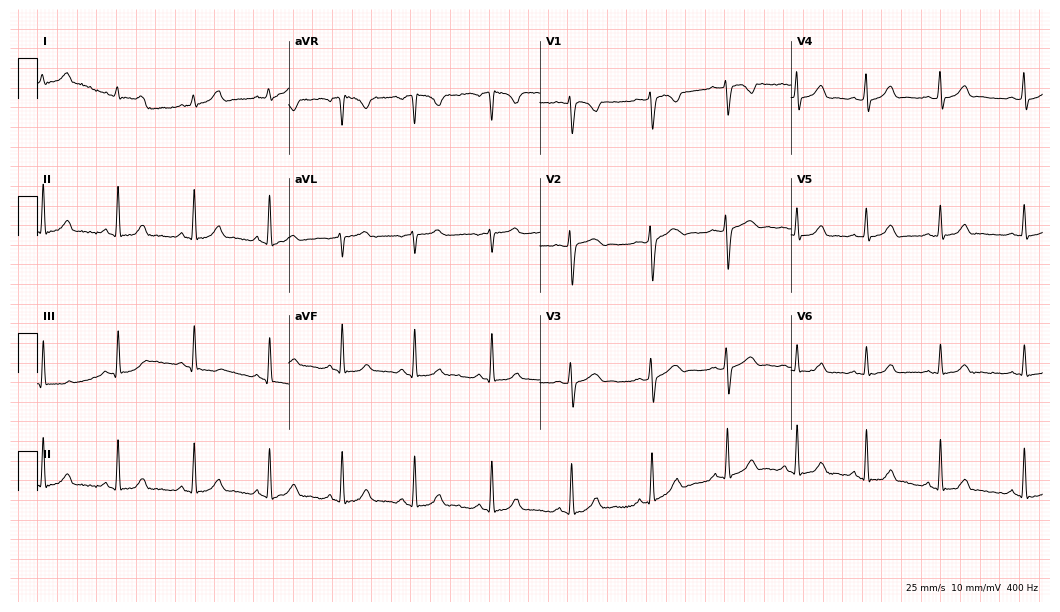
ECG — a 19-year-old woman. Labelled as a normal ECG.